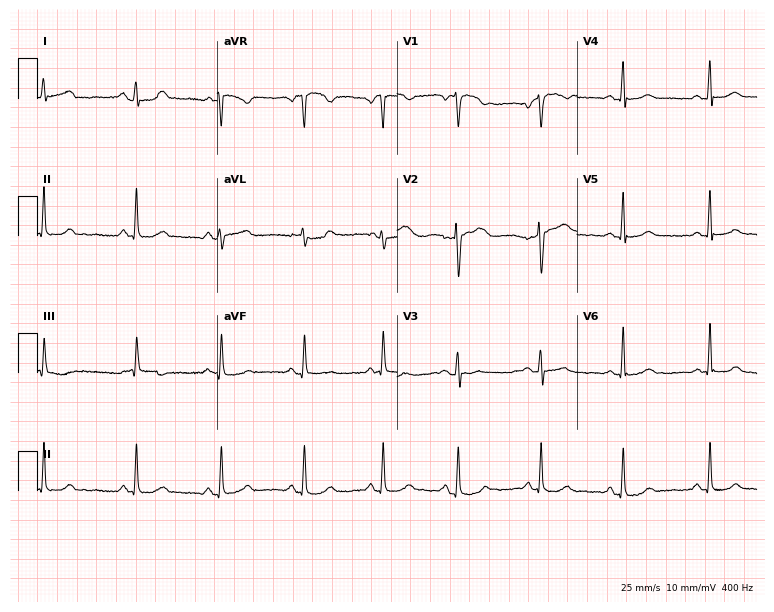
12-lead ECG (7.3-second recording at 400 Hz) from a 38-year-old female. Labelled as a normal ECG.